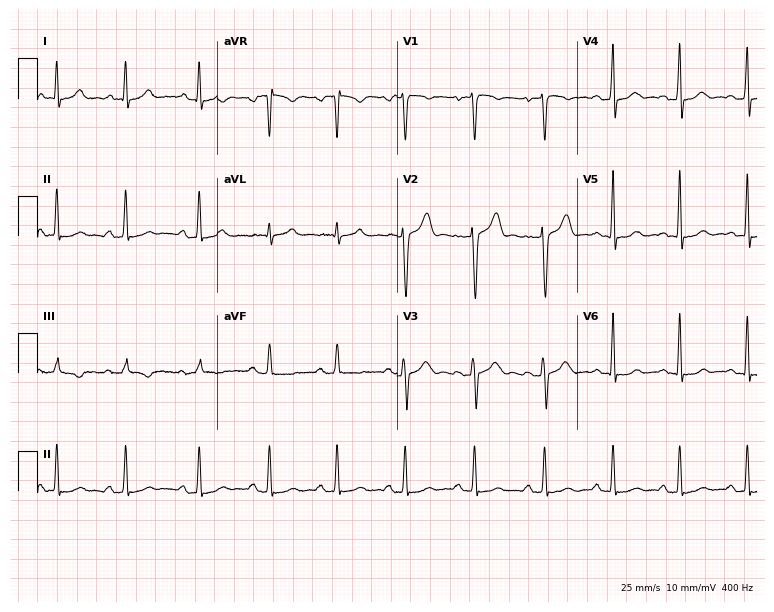
ECG (7.3-second recording at 400 Hz) — a male patient, 35 years old. Labelled as a normal ECG.